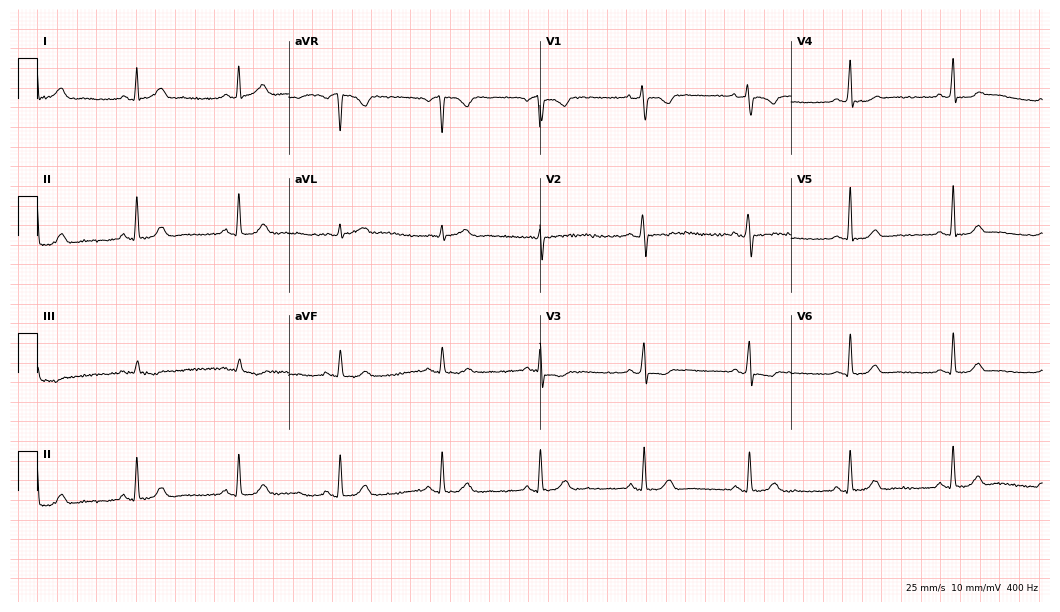
Electrocardiogram (10.2-second recording at 400 Hz), a female, 44 years old. Overall reading on record: normal ECG.